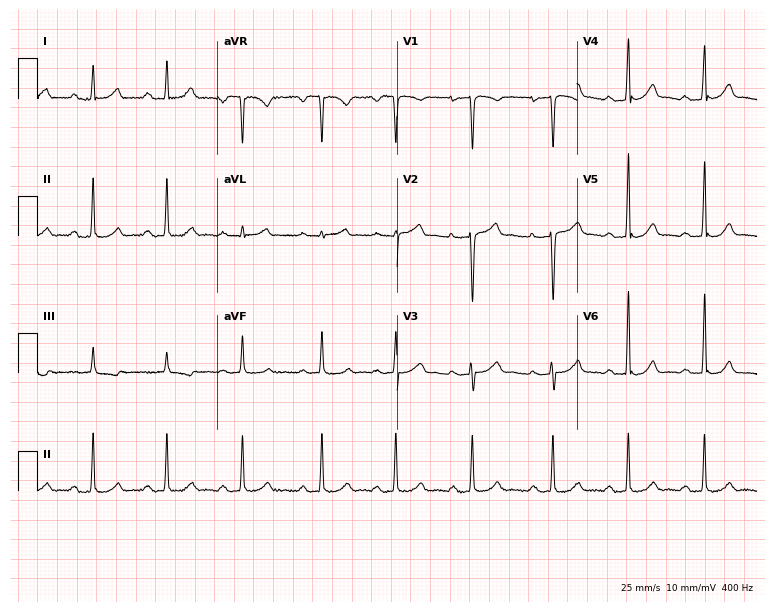
12-lead ECG from a female patient, 33 years old. Recorded interpretation: within normal limits.